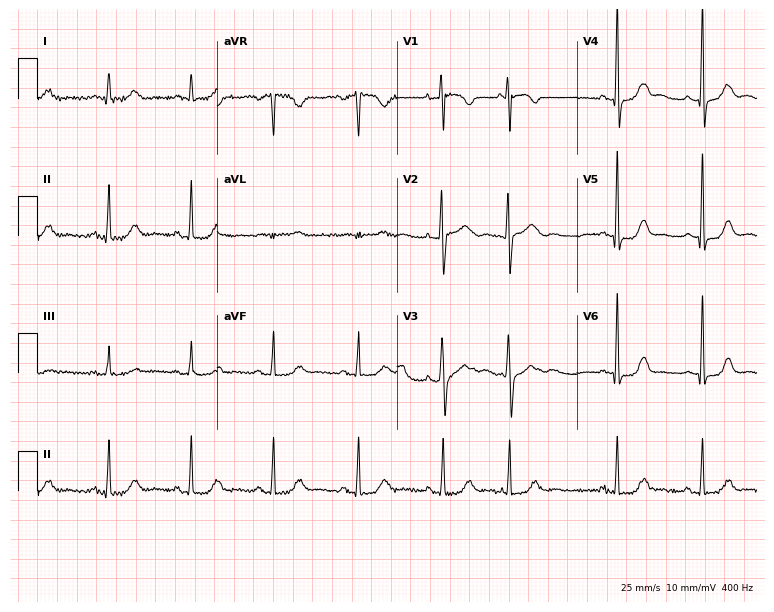
Resting 12-lead electrocardiogram (7.3-second recording at 400 Hz). Patient: a woman, 63 years old. None of these six findings is recorded: first-degree AV block, right bundle branch block, left bundle branch block, sinus bradycardia, atrial fibrillation, sinus tachycardia.